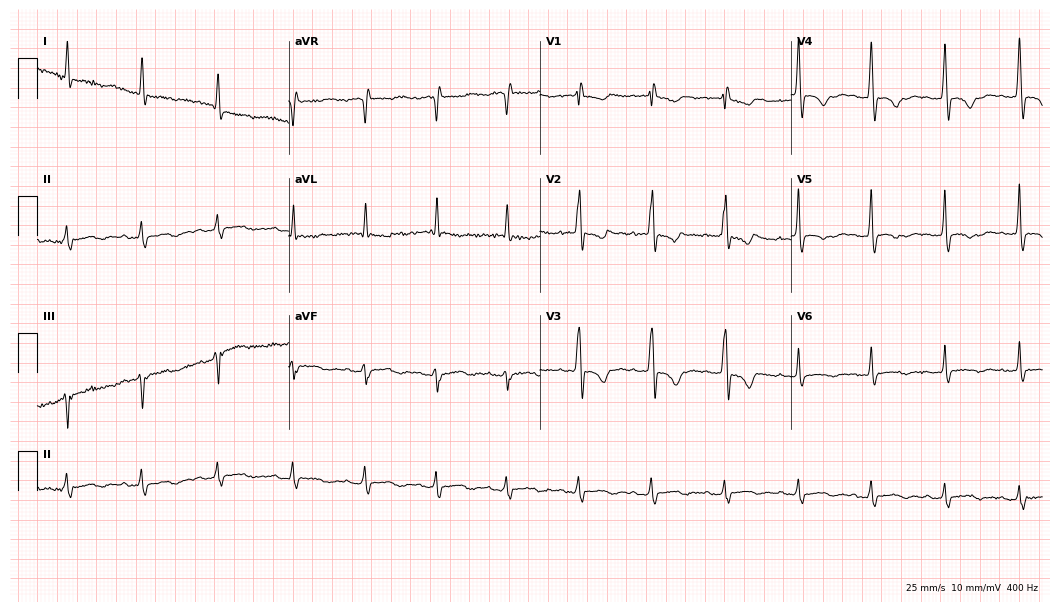
12-lead ECG from a 76-year-old male patient. Findings include right bundle branch block.